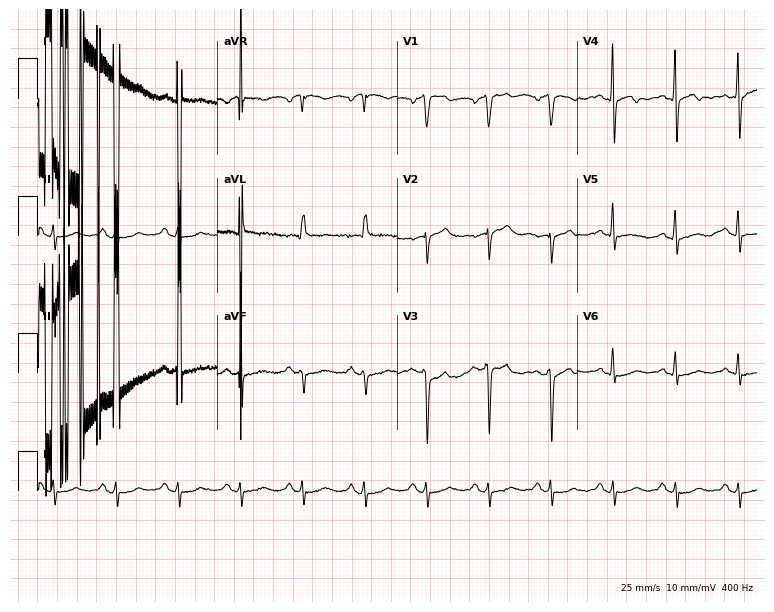
Resting 12-lead electrocardiogram (7.3-second recording at 400 Hz). Patient: a male, 76 years old. None of these six findings is recorded: first-degree AV block, right bundle branch block (RBBB), left bundle branch block (LBBB), sinus bradycardia, atrial fibrillation (AF), sinus tachycardia. Other findings, if any, are not listed.